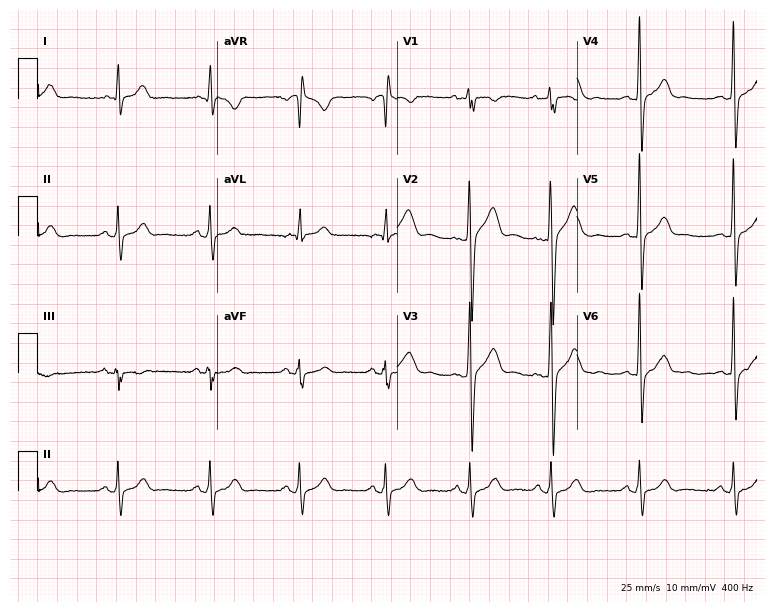
Resting 12-lead electrocardiogram. Patient: a man, 29 years old. None of these six findings is recorded: first-degree AV block, right bundle branch block, left bundle branch block, sinus bradycardia, atrial fibrillation, sinus tachycardia. Findings outside these six are not listed.